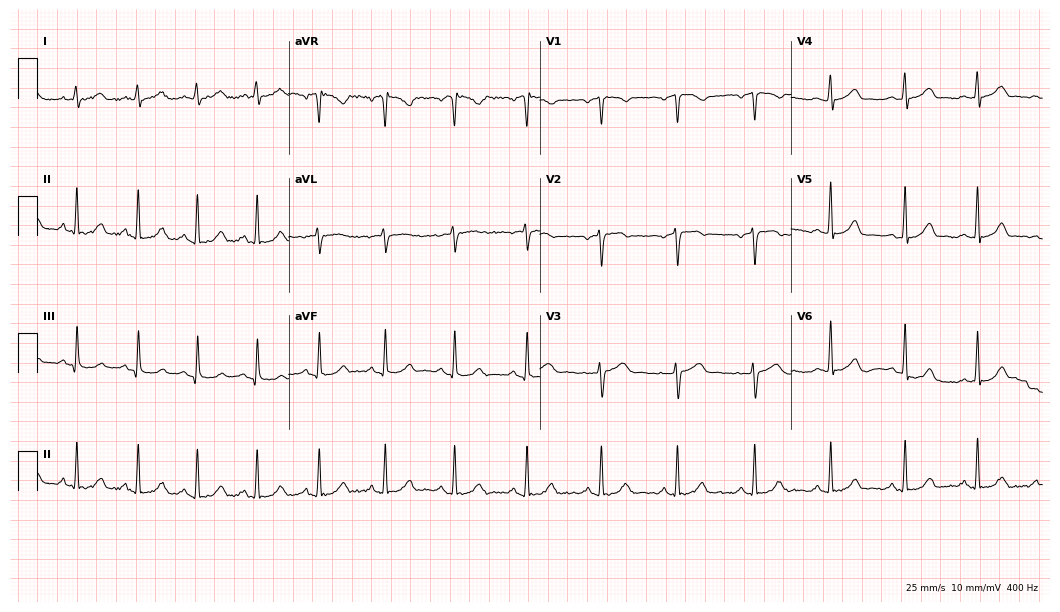
12-lead ECG from a female, 36 years old. Recorded interpretation: within normal limits.